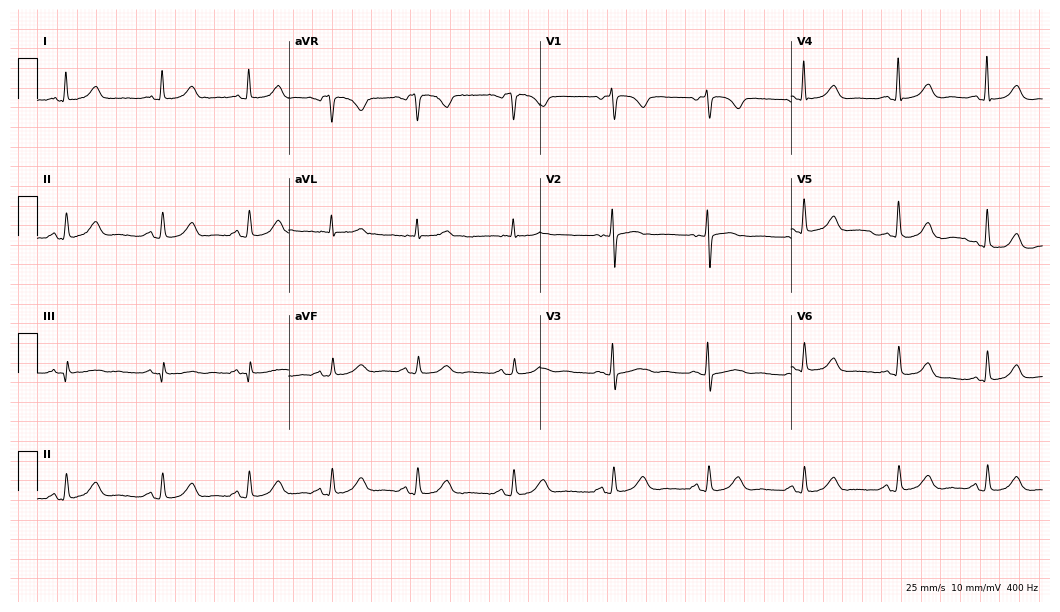
Resting 12-lead electrocardiogram (10.2-second recording at 400 Hz). Patient: a 75-year-old woman. Read as a normal ECG.